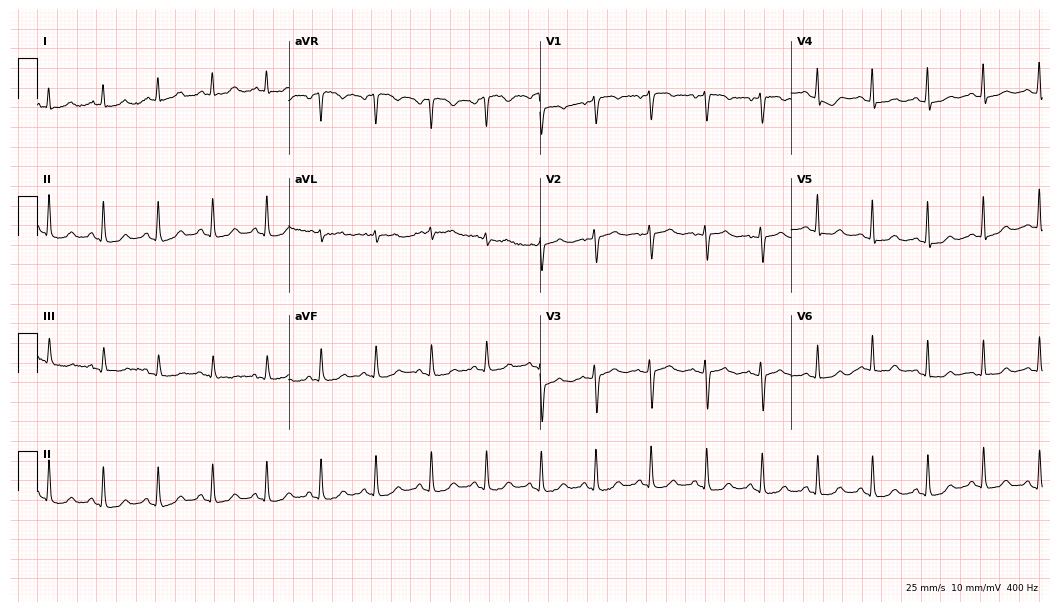
Resting 12-lead electrocardiogram. Patient: a 63-year-old woman. The tracing shows sinus tachycardia (a sinus rate of 100 beats per minute or more).